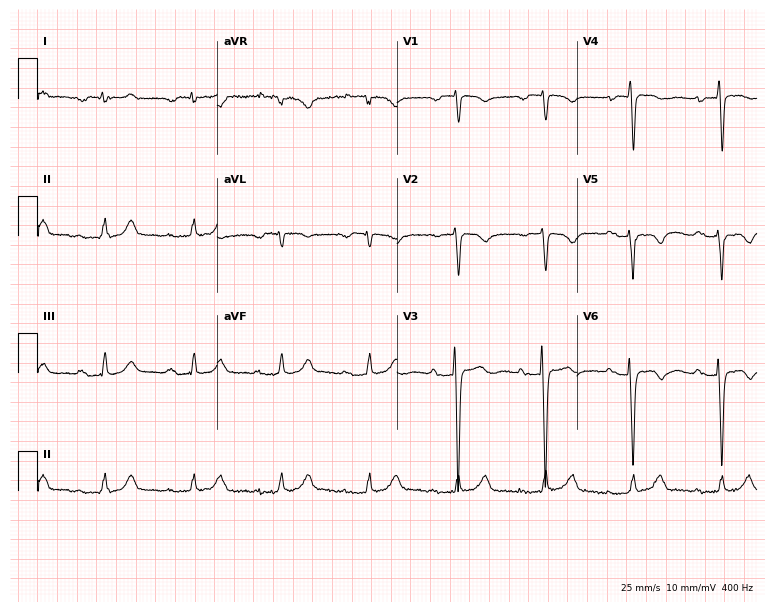
12-lead ECG from a male, 62 years old. No first-degree AV block, right bundle branch block (RBBB), left bundle branch block (LBBB), sinus bradycardia, atrial fibrillation (AF) or sinus tachycardia recorded for this tracing.